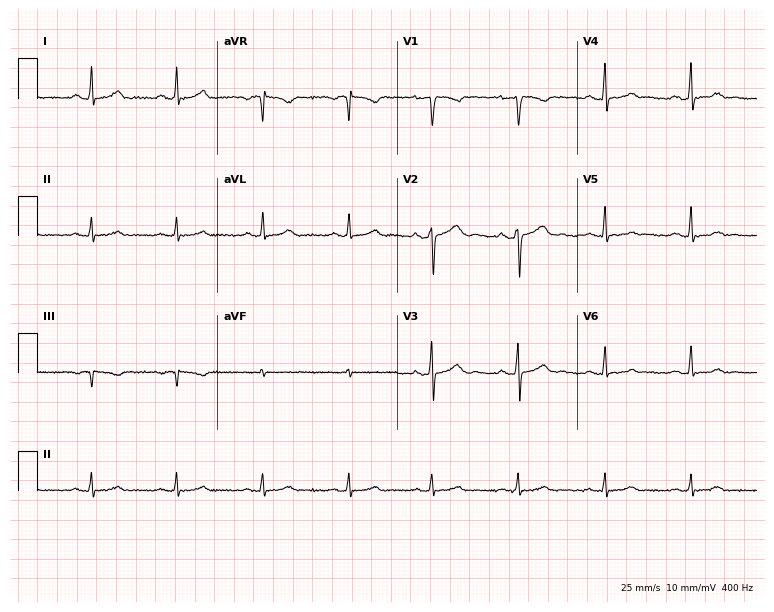
Electrocardiogram, a 39-year-old female. Of the six screened findings (first-degree AV block, right bundle branch block (RBBB), left bundle branch block (LBBB), sinus bradycardia, atrial fibrillation (AF), sinus tachycardia), none is recorded. Only these six findings were labelled.